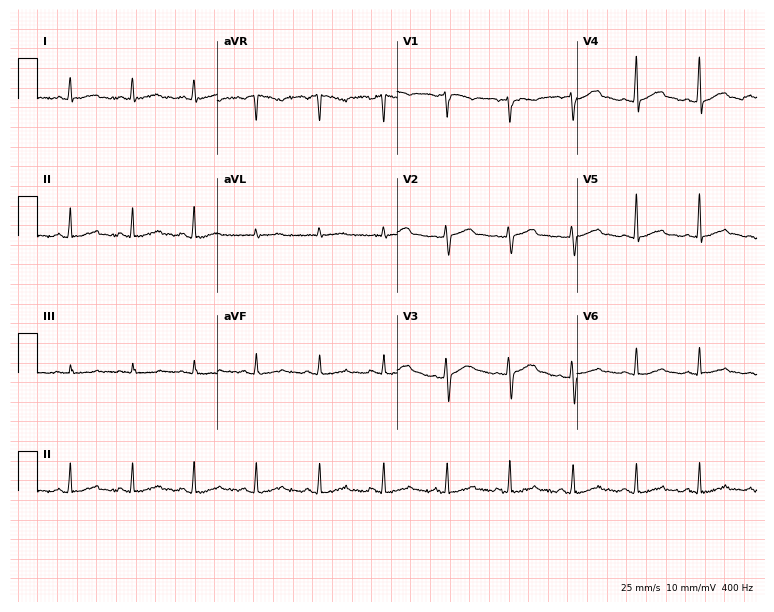
ECG (7.3-second recording at 400 Hz) — a 50-year-old female. Screened for six findings — first-degree AV block, right bundle branch block (RBBB), left bundle branch block (LBBB), sinus bradycardia, atrial fibrillation (AF), sinus tachycardia — none is recorded.